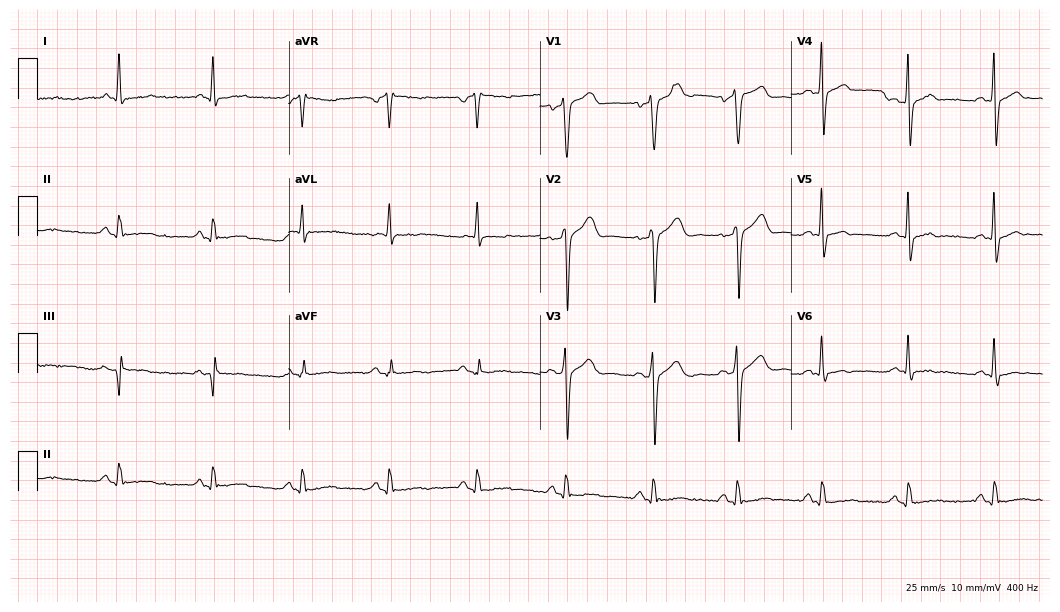
Resting 12-lead electrocardiogram (10.2-second recording at 400 Hz). Patient: a male, 52 years old. None of these six findings is recorded: first-degree AV block, right bundle branch block (RBBB), left bundle branch block (LBBB), sinus bradycardia, atrial fibrillation (AF), sinus tachycardia. Findings outside these six are not listed.